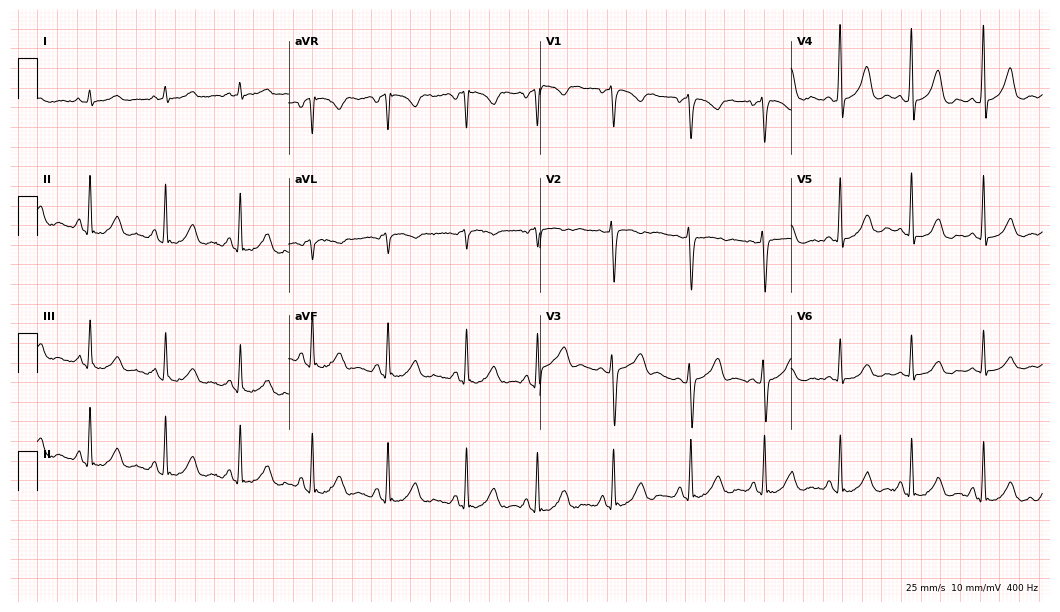
Resting 12-lead electrocardiogram. Patient: a 37-year-old male. Read as a normal ECG.